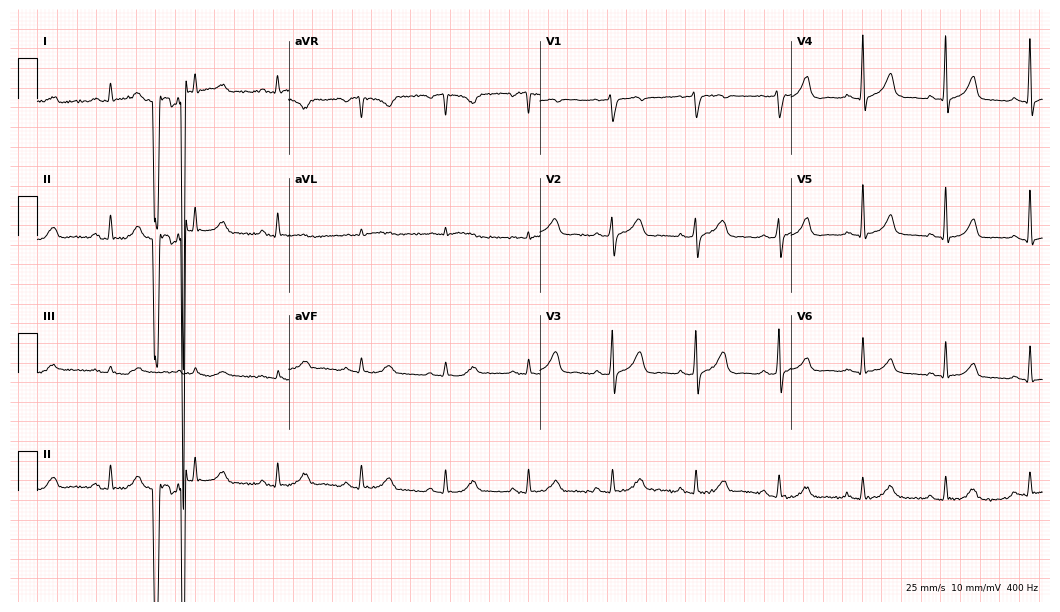
Standard 12-lead ECG recorded from a 65-year-old male patient (10.2-second recording at 400 Hz). None of these six findings is recorded: first-degree AV block, right bundle branch block, left bundle branch block, sinus bradycardia, atrial fibrillation, sinus tachycardia.